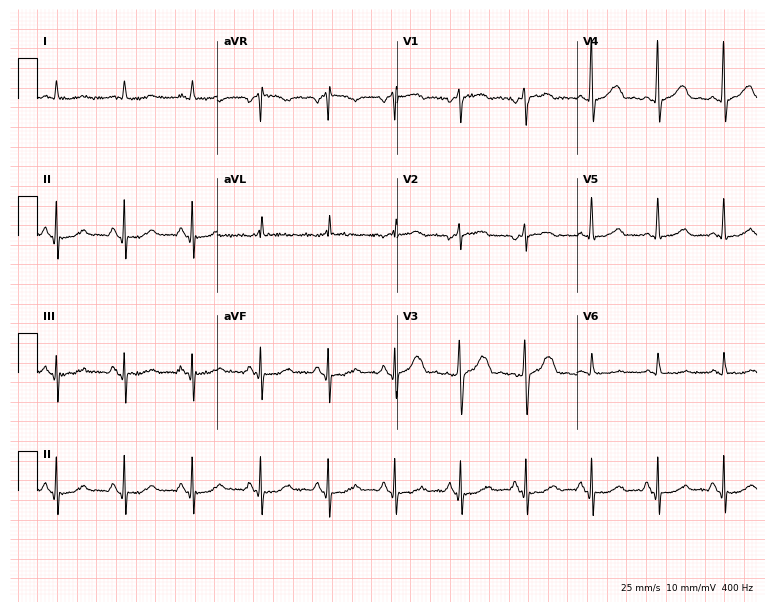
12-lead ECG from a 71-year-old woman. Recorded interpretation: within normal limits.